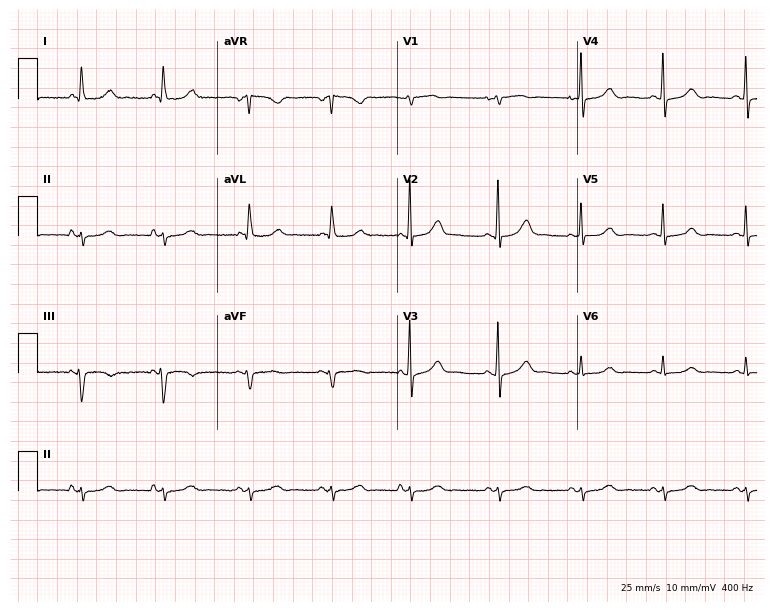
12-lead ECG from a woman, 75 years old. Screened for six findings — first-degree AV block, right bundle branch block, left bundle branch block, sinus bradycardia, atrial fibrillation, sinus tachycardia — none is recorded.